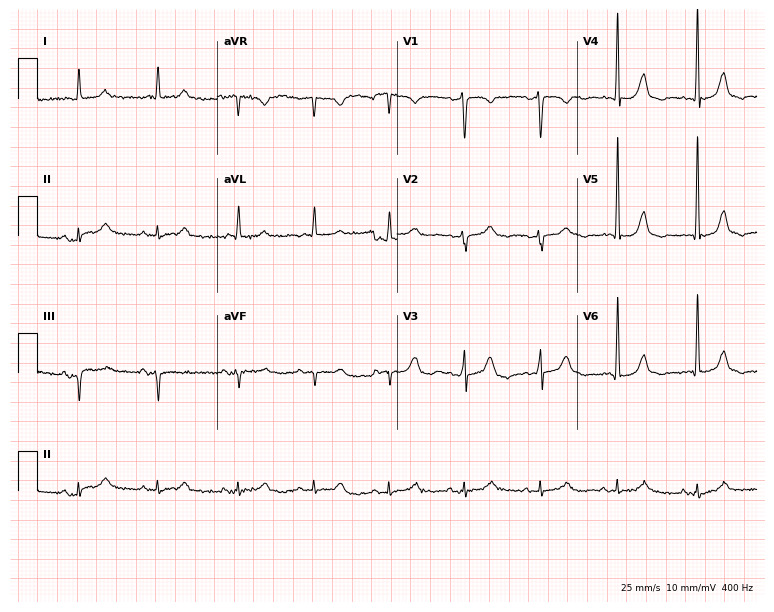
Resting 12-lead electrocardiogram (7.3-second recording at 400 Hz). Patient: a woman, 80 years old. Read as a normal ECG.